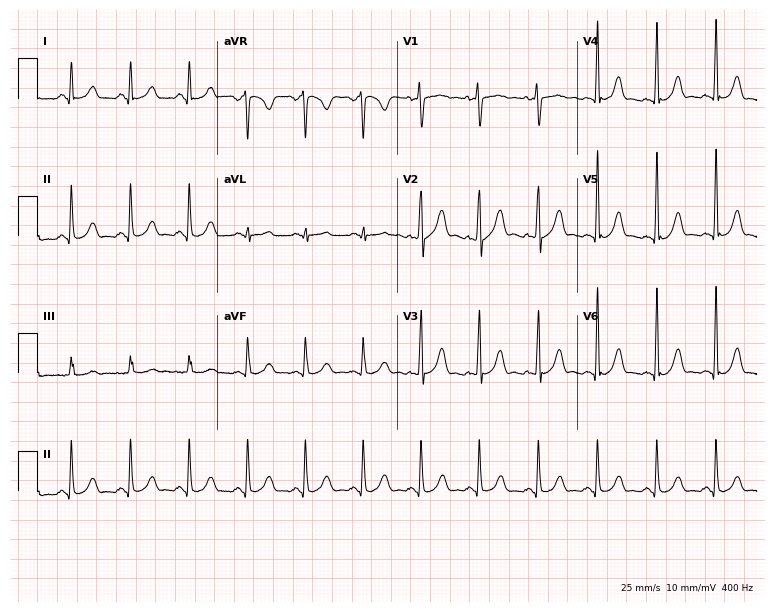
ECG (7.3-second recording at 400 Hz) — a female patient, 51 years old. Screened for six findings — first-degree AV block, right bundle branch block (RBBB), left bundle branch block (LBBB), sinus bradycardia, atrial fibrillation (AF), sinus tachycardia — none is recorded.